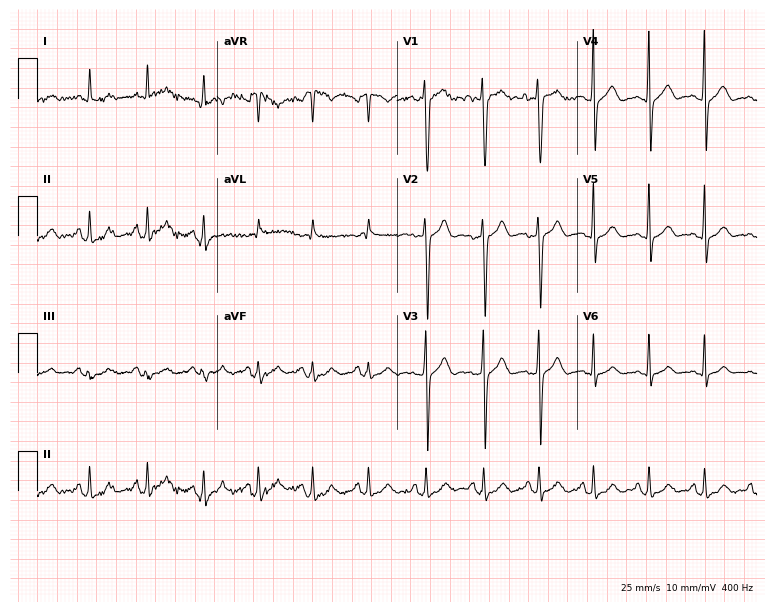
Resting 12-lead electrocardiogram. Patient: a 20-year-old male. The tracing shows sinus tachycardia (a sinus rate of 100 beats per minute or more).